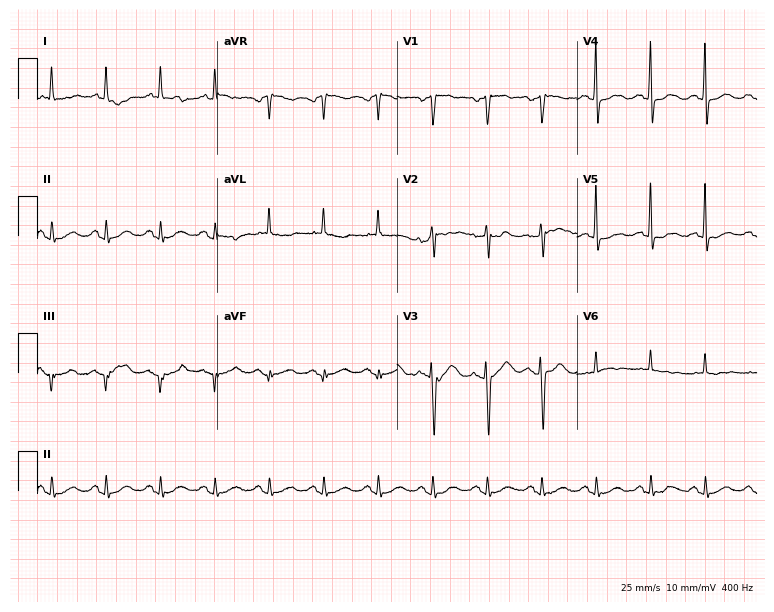
12-lead ECG from an 83-year-old female patient (7.3-second recording at 400 Hz). Shows sinus tachycardia (a sinus rate of 100 beats per minute or more).